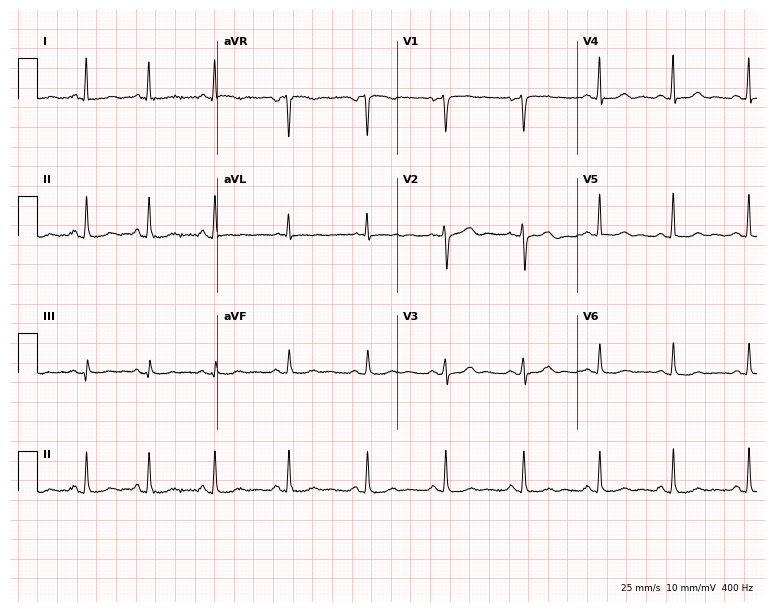
12-lead ECG (7.3-second recording at 400 Hz) from a woman, 55 years old. Screened for six findings — first-degree AV block, right bundle branch block, left bundle branch block, sinus bradycardia, atrial fibrillation, sinus tachycardia — none is recorded. Only these six findings were labelled.